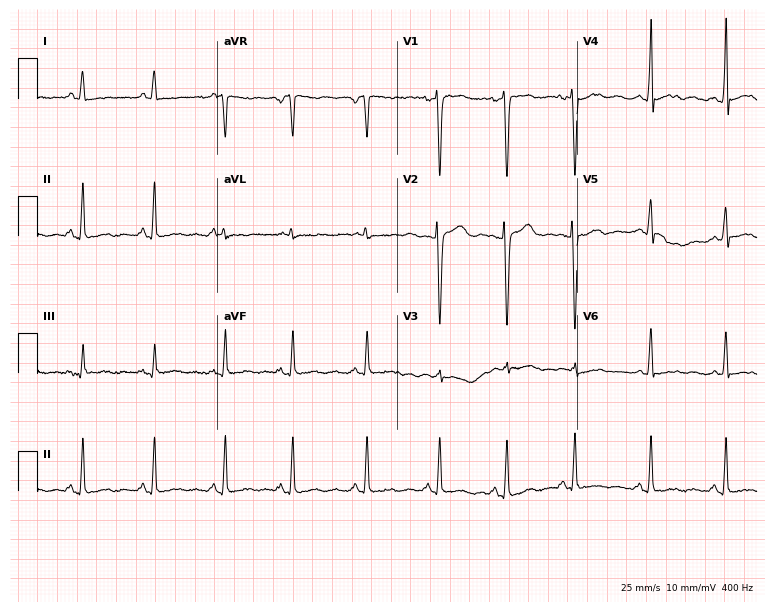
ECG — a 26-year-old woman. Screened for six findings — first-degree AV block, right bundle branch block, left bundle branch block, sinus bradycardia, atrial fibrillation, sinus tachycardia — none is recorded.